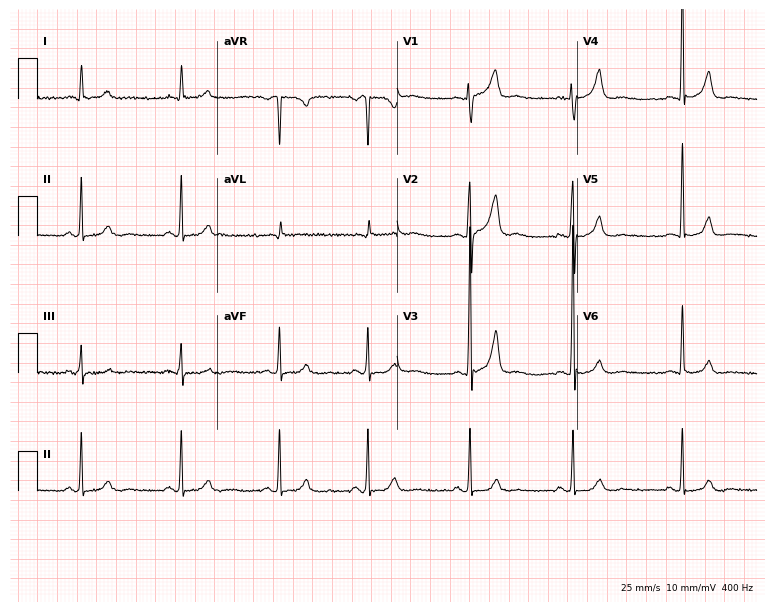
ECG (7.3-second recording at 400 Hz) — a male, 52 years old. Screened for six findings — first-degree AV block, right bundle branch block, left bundle branch block, sinus bradycardia, atrial fibrillation, sinus tachycardia — none is recorded.